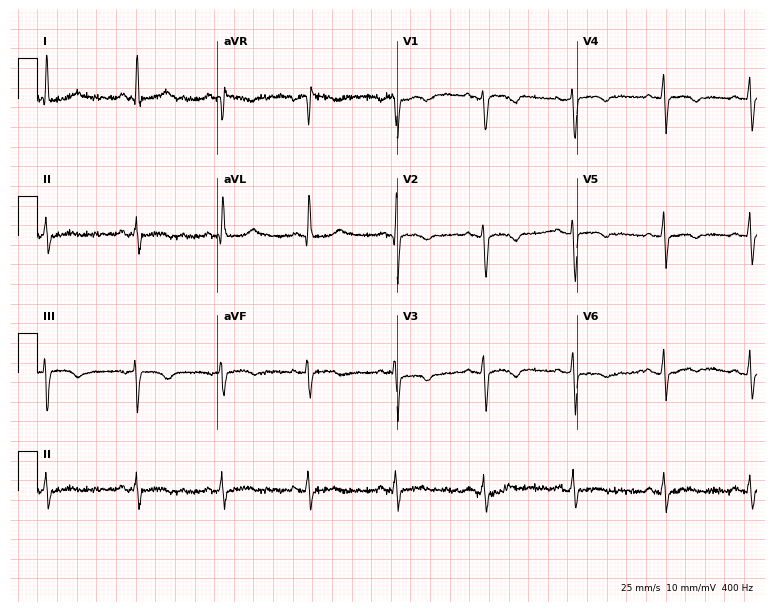
12-lead ECG from a 42-year-old woman. No first-degree AV block, right bundle branch block (RBBB), left bundle branch block (LBBB), sinus bradycardia, atrial fibrillation (AF) or sinus tachycardia recorded for this tracing.